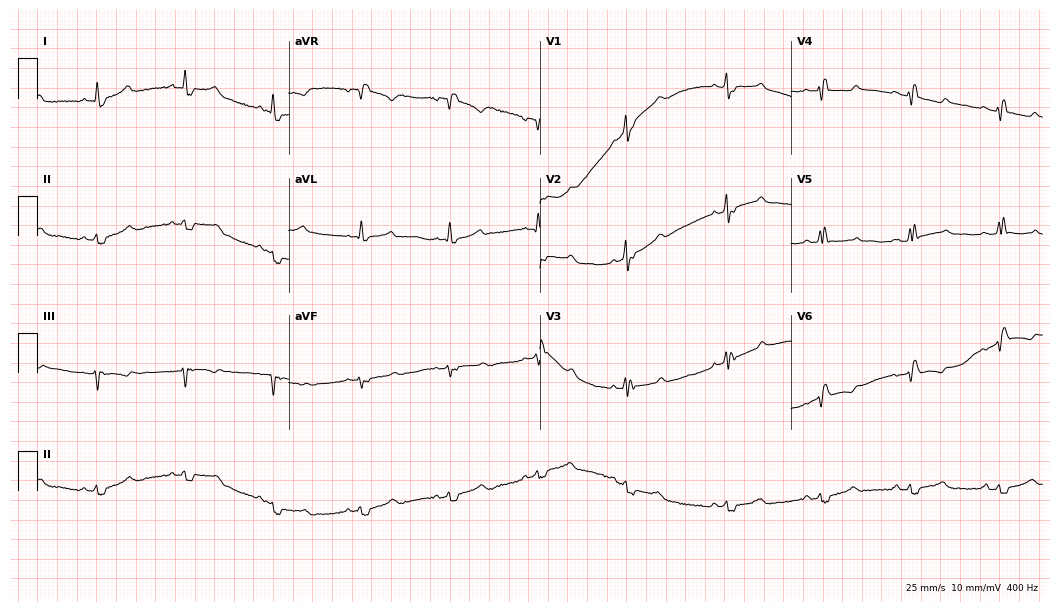
12-lead ECG from a 62-year-old female (10.2-second recording at 400 Hz). No first-degree AV block, right bundle branch block (RBBB), left bundle branch block (LBBB), sinus bradycardia, atrial fibrillation (AF) or sinus tachycardia recorded for this tracing.